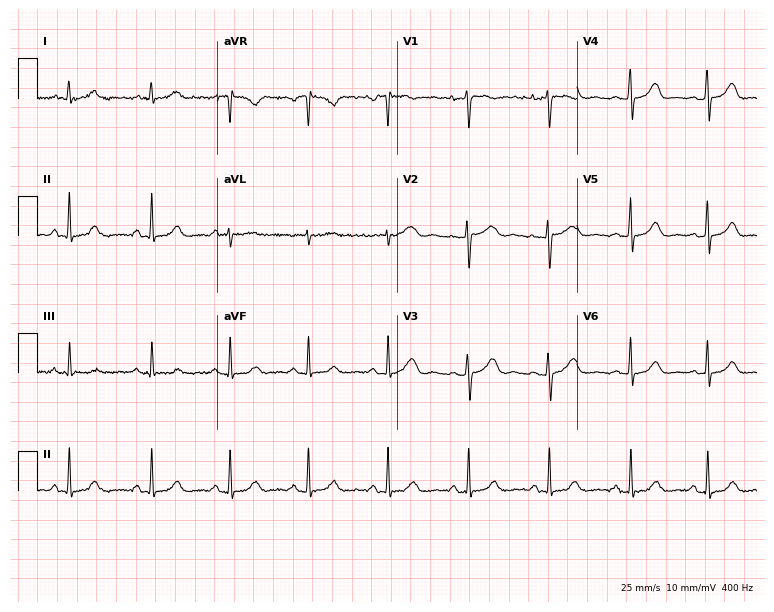
ECG (7.3-second recording at 400 Hz) — a female, 41 years old. Screened for six findings — first-degree AV block, right bundle branch block, left bundle branch block, sinus bradycardia, atrial fibrillation, sinus tachycardia — none is recorded. Only these six findings were labelled.